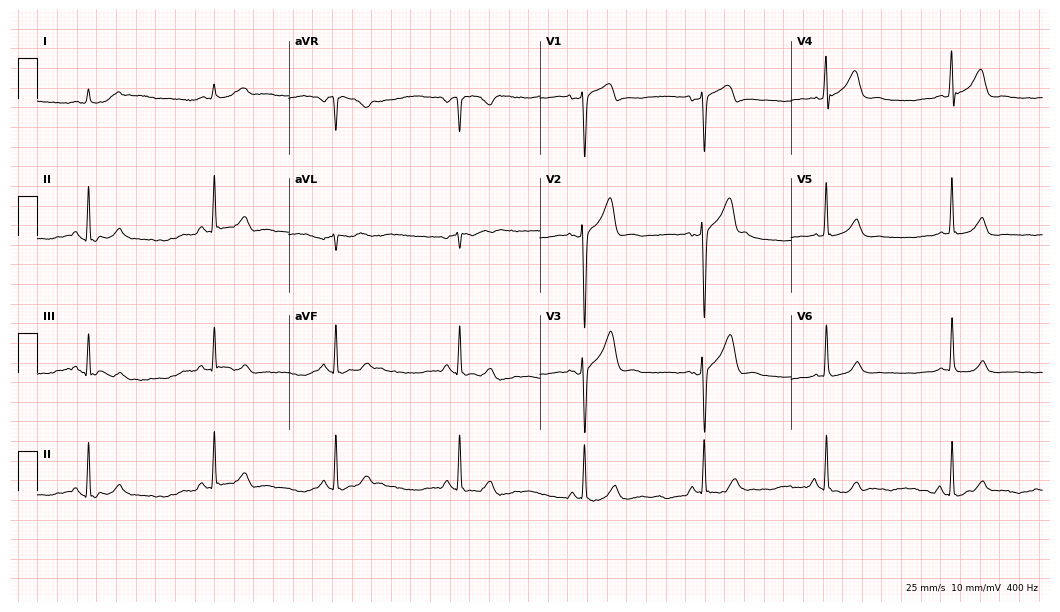
Electrocardiogram, a male, 45 years old. Interpretation includes sinus bradycardia (a sinus rate of 50 beats per minute or less).